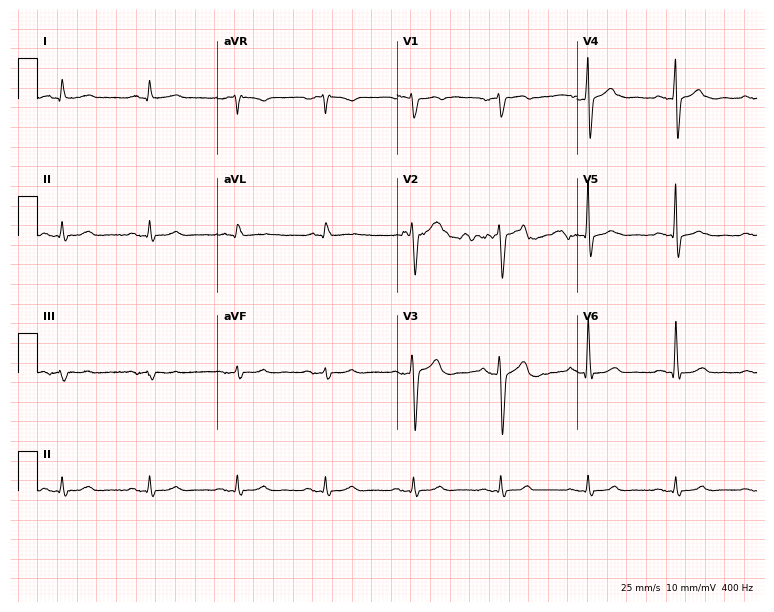
12-lead ECG (7.3-second recording at 400 Hz) from a man, 82 years old. Screened for six findings — first-degree AV block, right bundle branch block, left bundle branch block, sinus bradycardia, atrial fibrillation, sinus tachycardia — none is recorded. Findings outside these six are not listed.